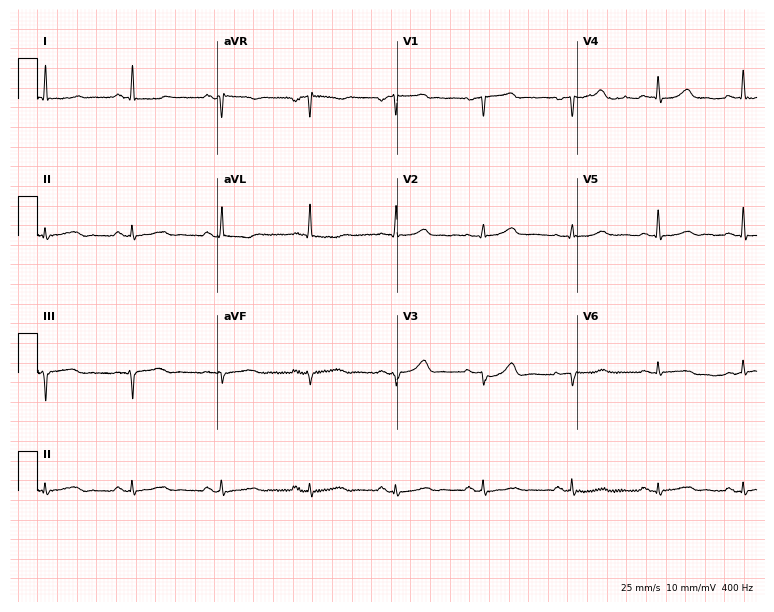
Standard 12-lead ECG recorded from a female patient, 65 years old. None of these six findings is recorded: first-degree AV block, right bundle branch block, left bundle branch block, sinus bradycardia, atrial fibrillation, sinus tachycardia. Only these six findings were labelled.